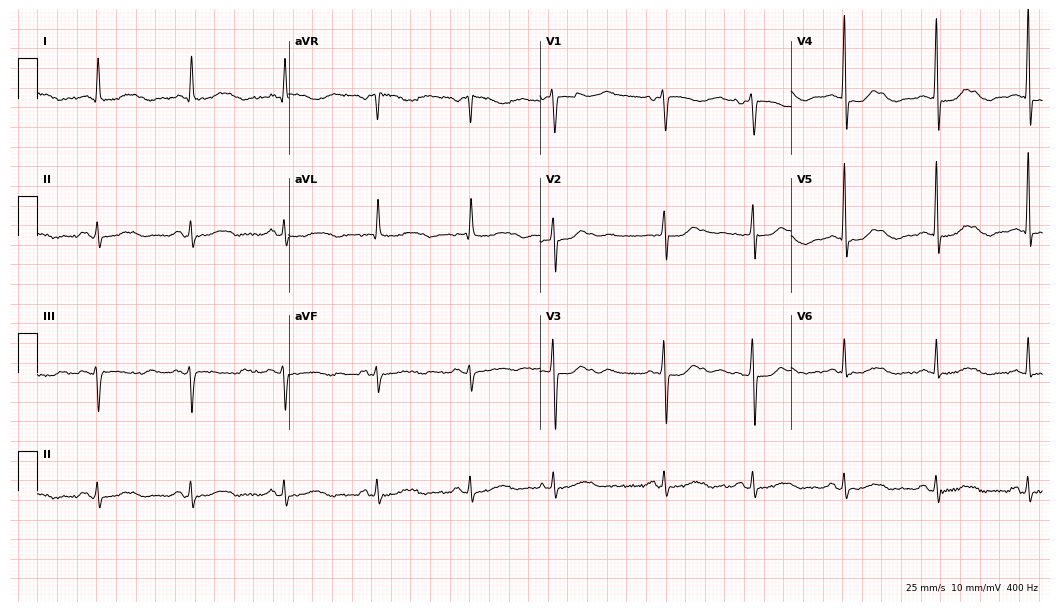
Electrocardiogram (10.2-second recording at 400 Hz), an 84-year-old female patient. Overall reading on record: normal ECG.